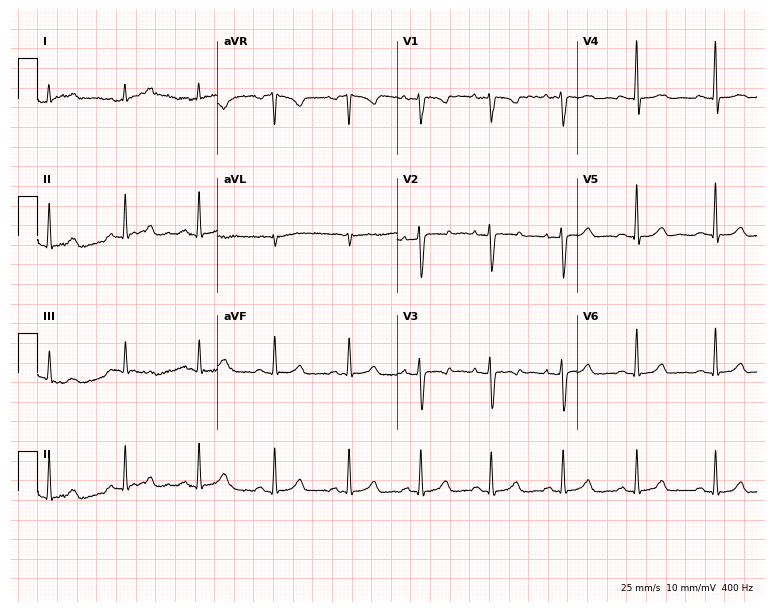
12-lead ECG (7.3-second recording at 400 Hz) from a 31-year-old woman. Screened for six findings — first-degree AV block, right bundle branch block (RBBB), left bundle branch block (LBBB), sinus bradycardia, atrial fibrillation (AF), sinus tachycardia — none is recorded.